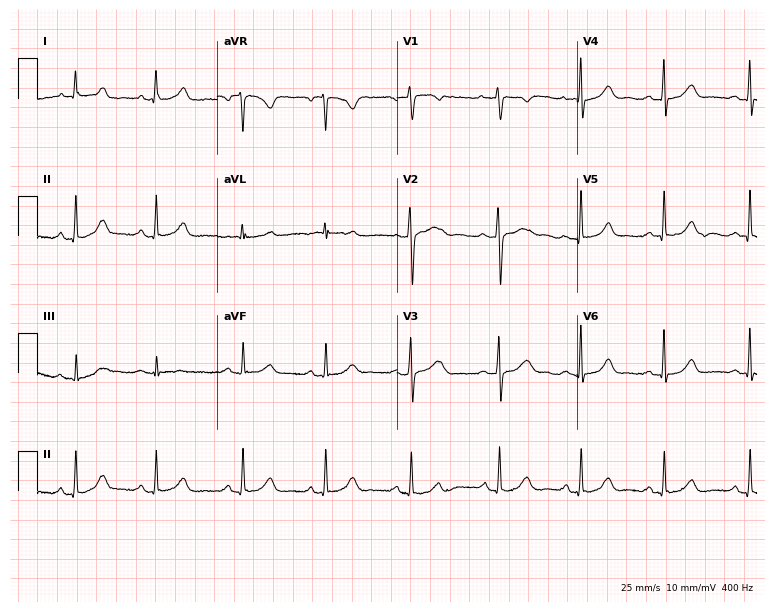
12-lead ECG from a 44-year-old female (7.3-second recording at 400 Hz). Recorded interpretation: within normal limits.